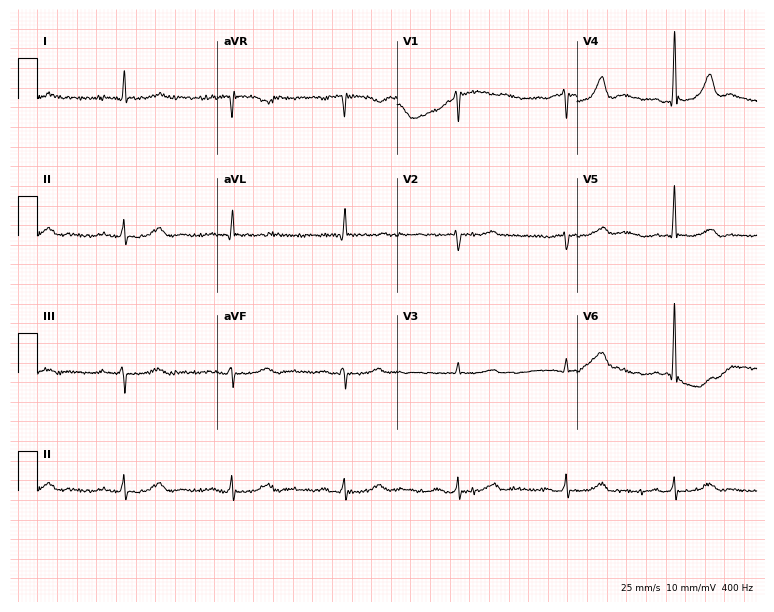
12-lead ECG (7.3-second recording at 400 Hz) from an 80-year-old female patient. Screened for six findings — first-degree AV block, right bundle branch block (RBBB), left bundle branch block (LBBB), sinus bradycardia, atrial fibrillation (AF), sinus tachycardia — none is recorded. Only these six findings were labelled.